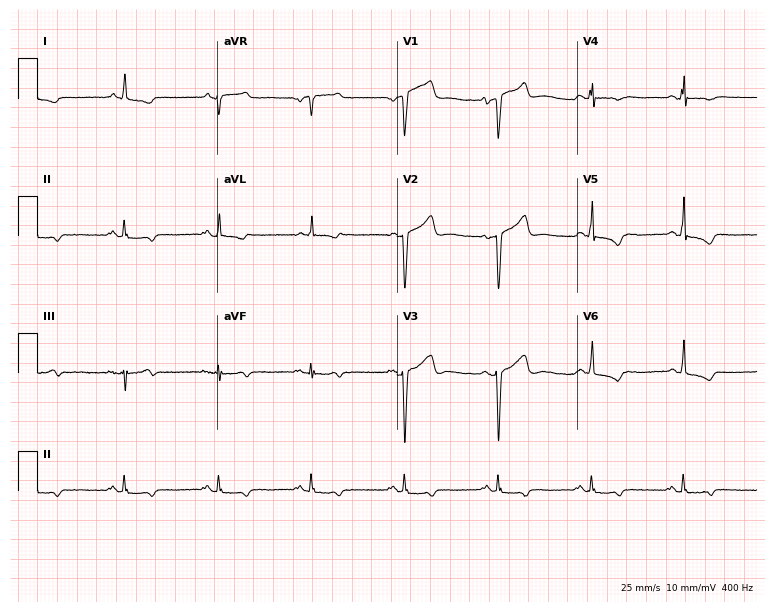
Electrocardiogram (7.3-second recording at 400 Hz), a 64-year-old man. Of the six screened findings (first-degree AV block, right bundle branch block, left bundle branch block, sinus bradycardia, atrial fibrillation, sinus tachycardia), none is recorded.